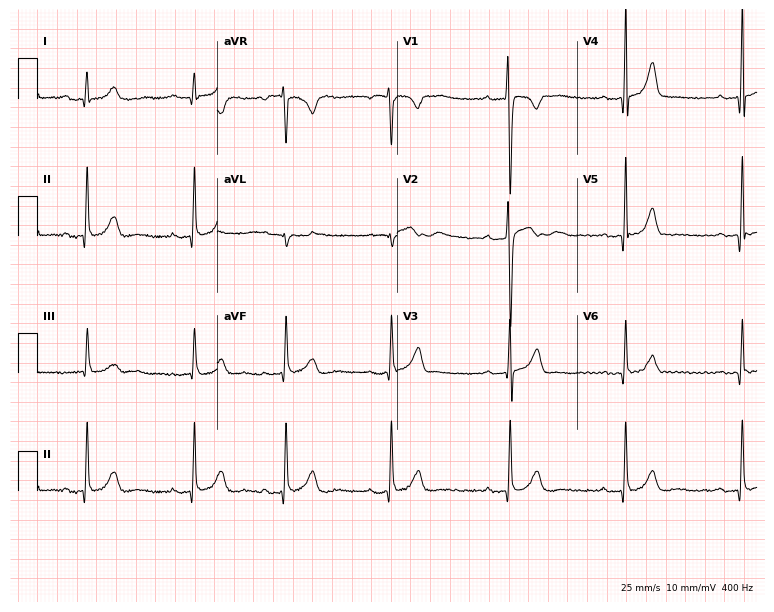
Resting 12-lead electrocardiogram (7.3-second recording at 400 Hz). Patient: a male, 22 years old. The tracing shows first-degree AV block.